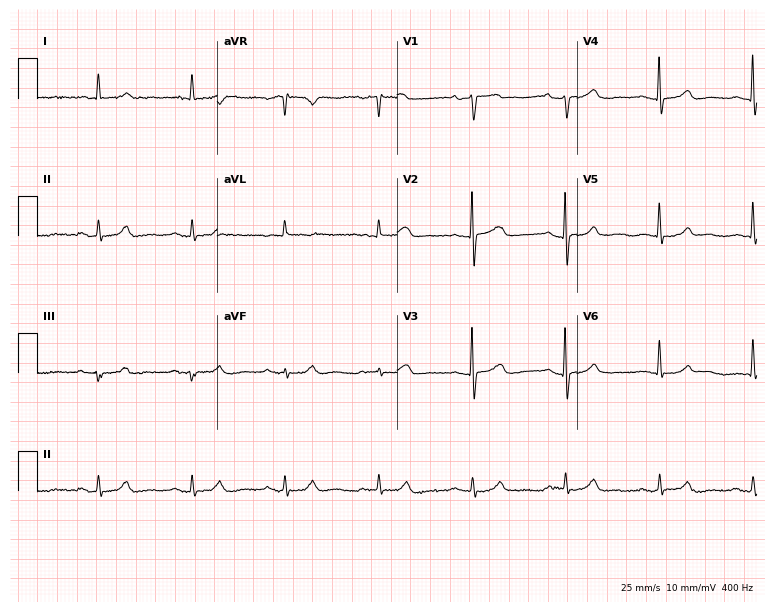
Resting 12-lead electrocardiogram (7.3-second recording at 400 Hz). Patient: a male, 78 years old. Read as a normal ECG.